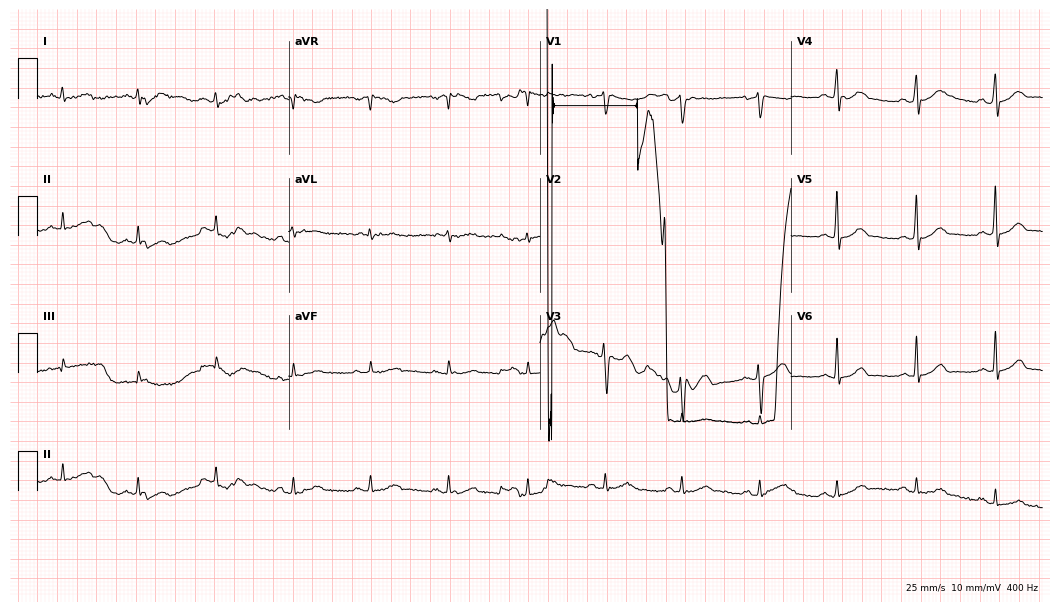
ECG (10.2-second recording at 400 Hz) — a male, 45 years old. Screened for six findings — first-degree AV block, right bundle branch block, left bundle branch block, sinus bradycardia, atrial fibrillation, sinus tachycardia — none is recorded. Other findings, if any, are not listed.